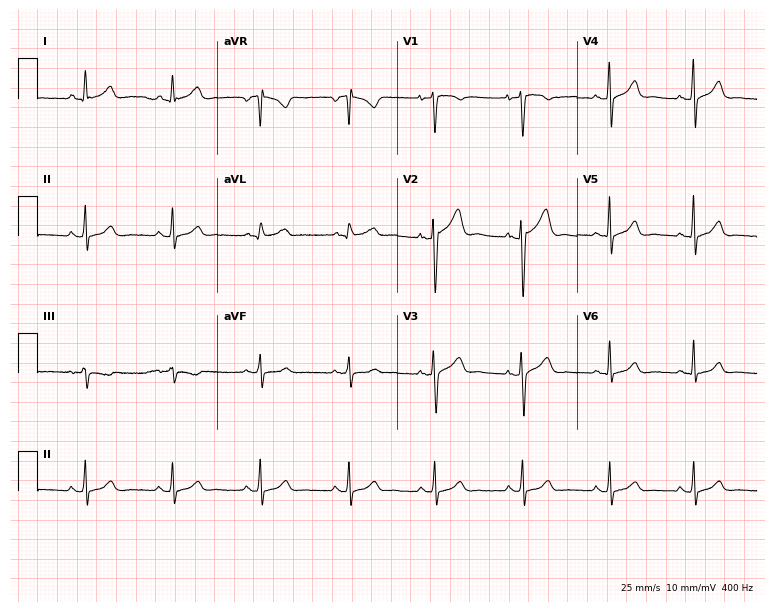
Standard 12-lead ECG recorded from a woman, 36 years old (7.3-second recording at 400 Hz). Read as a normal ECG.